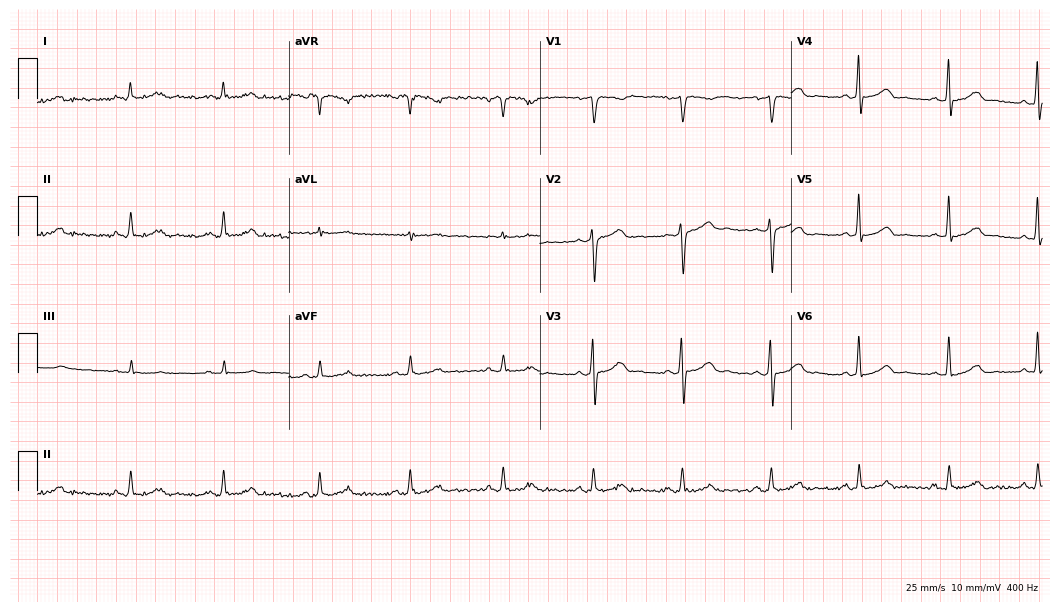
12-lead ECG from a 47-year-old man. Labelled as a normal ECG.